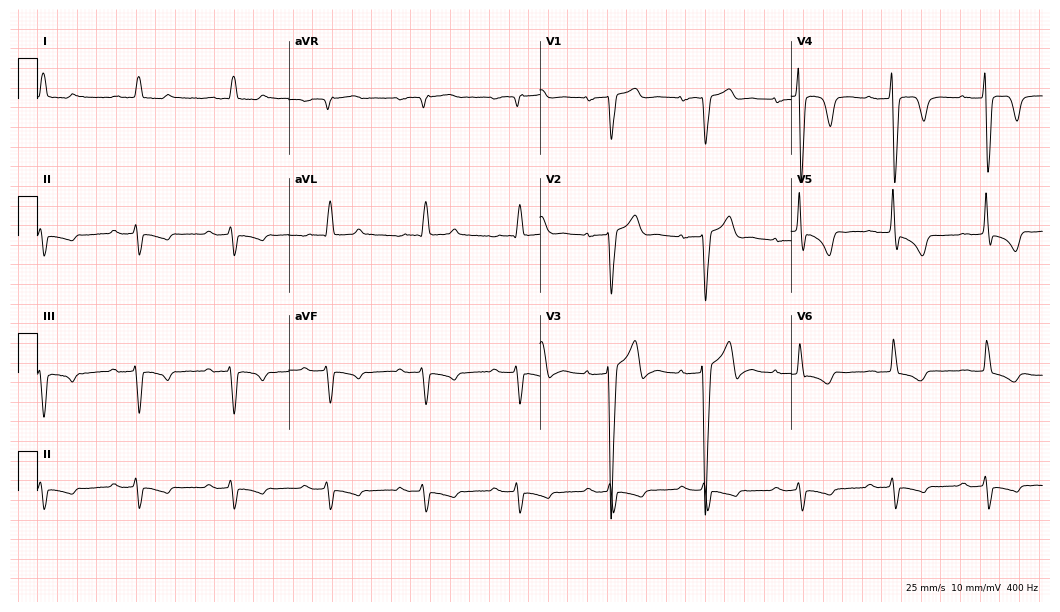
ECG — a male, 67 years old. Findings include first-degree AV block.